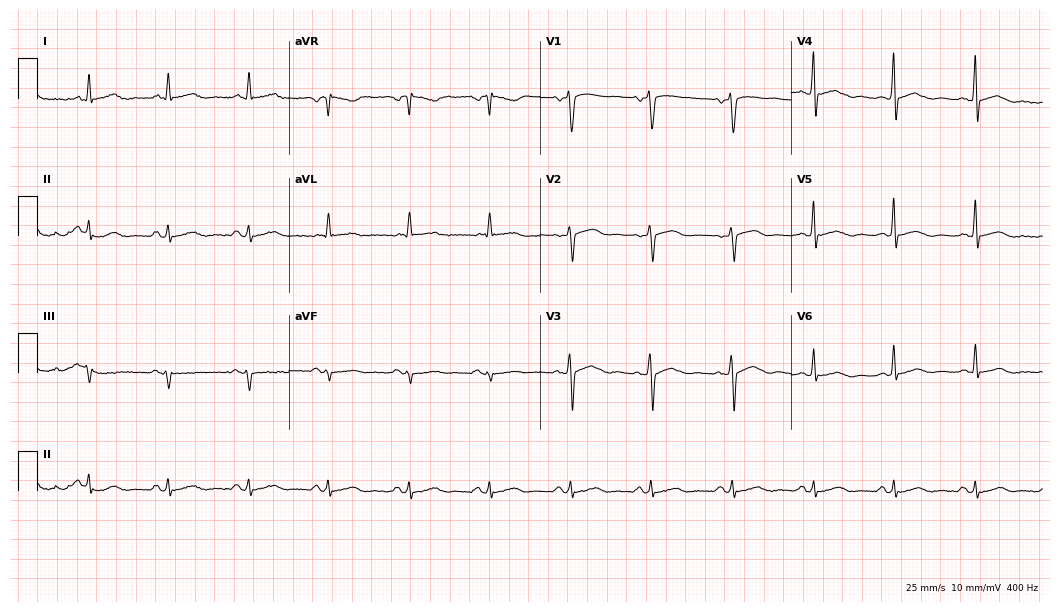
Standard 12-lead ECG recorded from a 74-year-old male (10.2-second recording at 400 Hz). None of these six findings is recorded: first-degree AV block, right bundle branch block, left bundle branch block, sinus bradycardia, atrial fibrillation, sinus tachycardia.